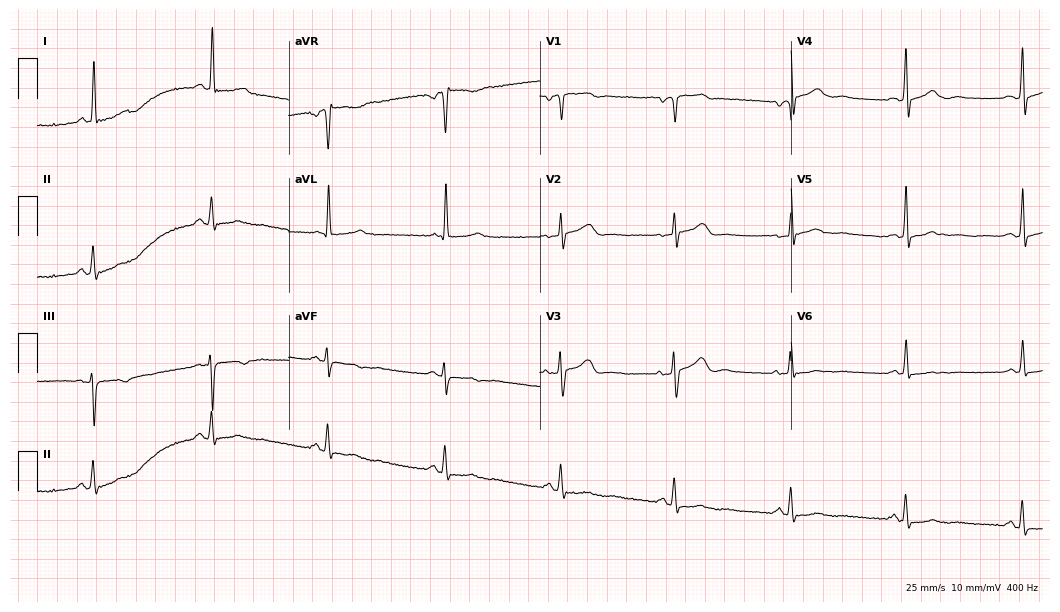
12-lead ECG from a woman, 61 years old (10.2-second recording at 400 Hz). No first-degree AV block, right bundle branch block (RBBB), left bundle branch block (LBBB), sinus bradycardia, atrial fibrillation (AF) or sinus tachycardia recorded for this tracing. Findings outside these six are not listed.